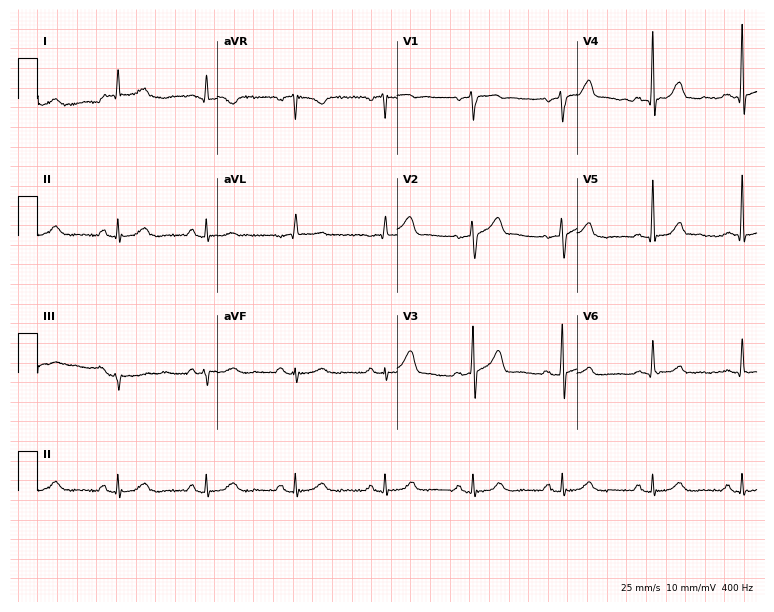
Resting 12-lead electrocardiogram. Patient: a man, 70 years old. Read as a normal ECG.